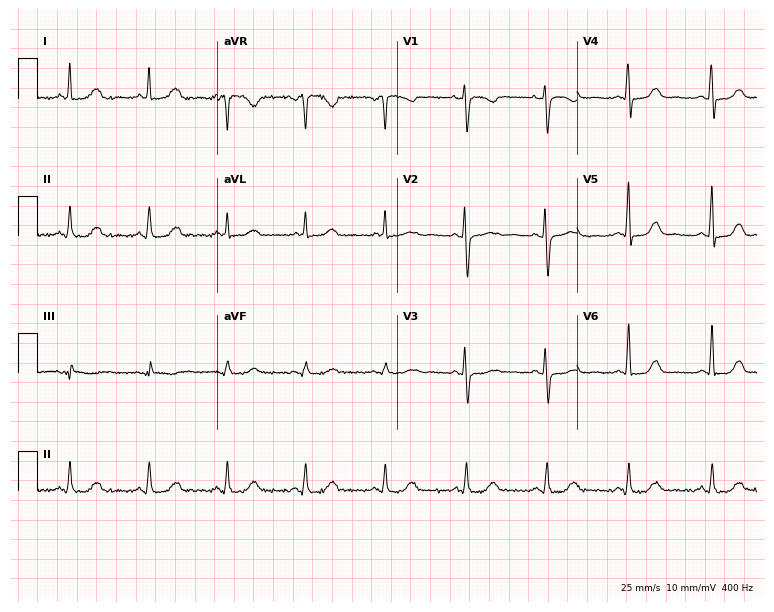
Electrocardiogram, a woman, 52 years old. Overall reading on record: normal ECG.